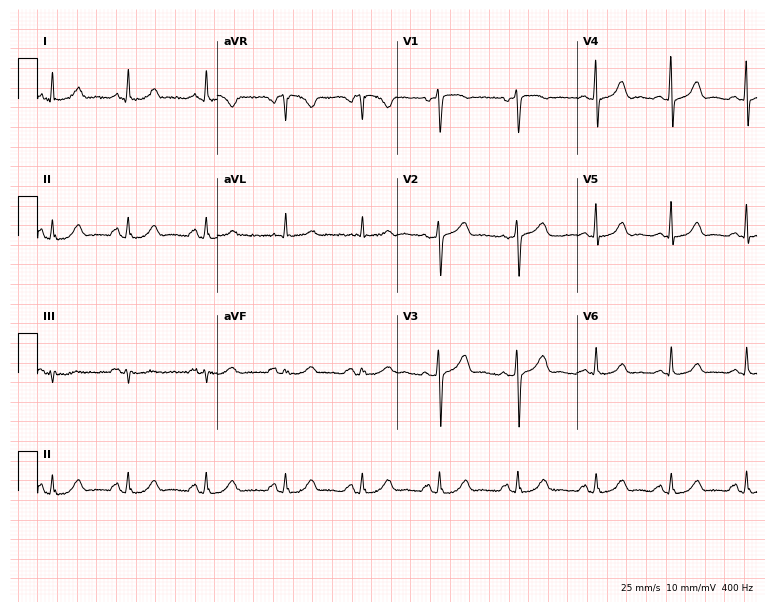
ECG (7.3-second recording at 400 Hz) — a 45-year-old woman. Labelled as a normal ECG.